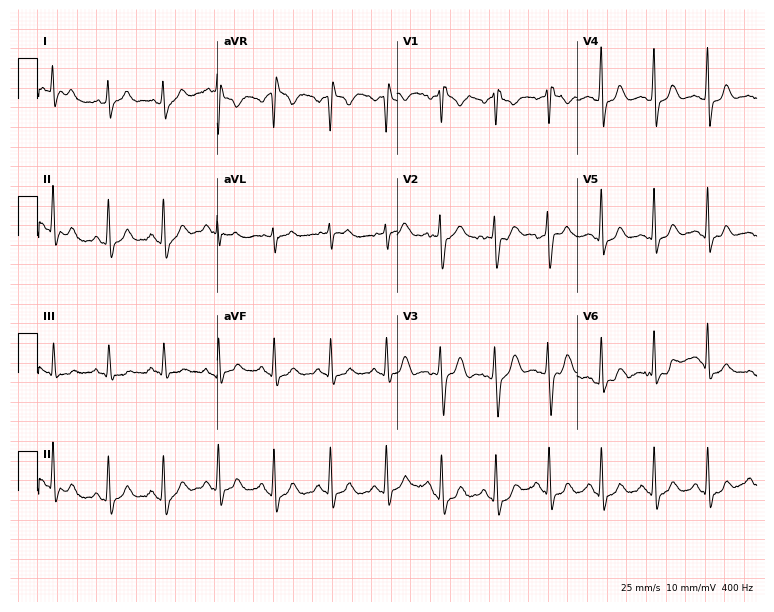
12-lead ECG from a female, 39 years old. Findings include sinus tachycardia (a sinus rate of 100 beats per minute or more).